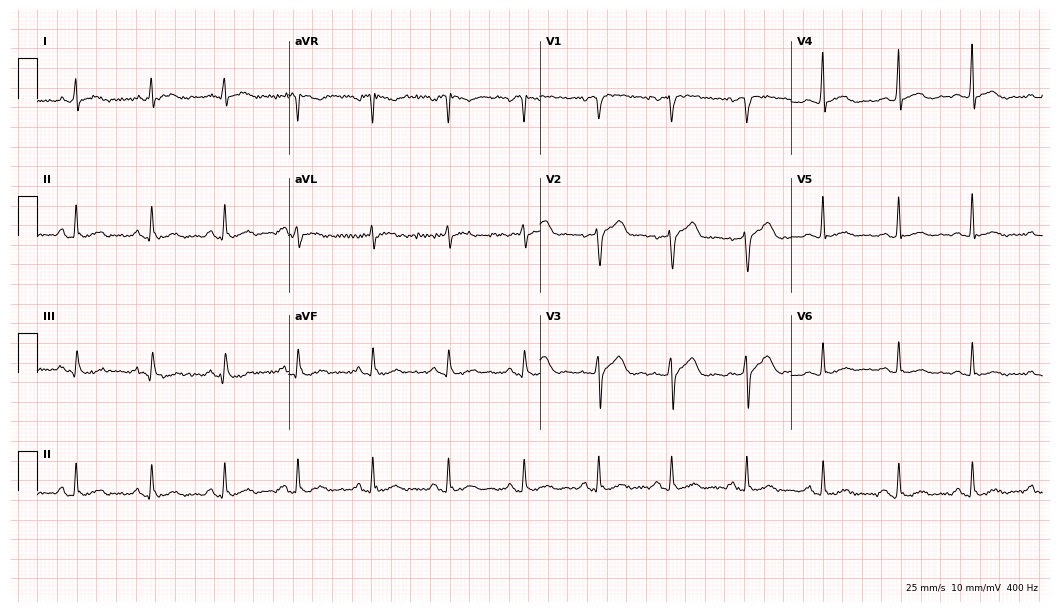
Standard 12-lead ECG recorded from a 37-year-old male (10.2-second recording at 400 Hz). Read as a normal ECG.